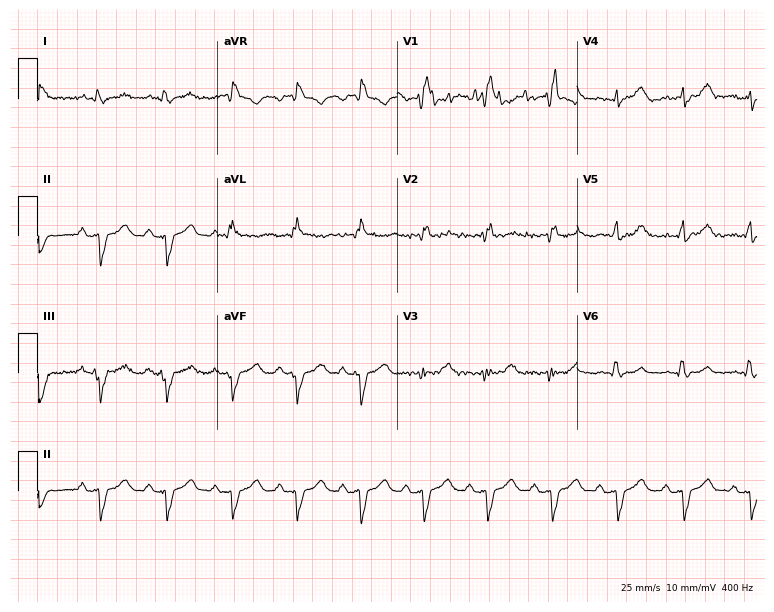
12-lead ECG from a man, 55 years old (7.3-second recording at 400 Hz). Shows right bundle branch block (RBBB).